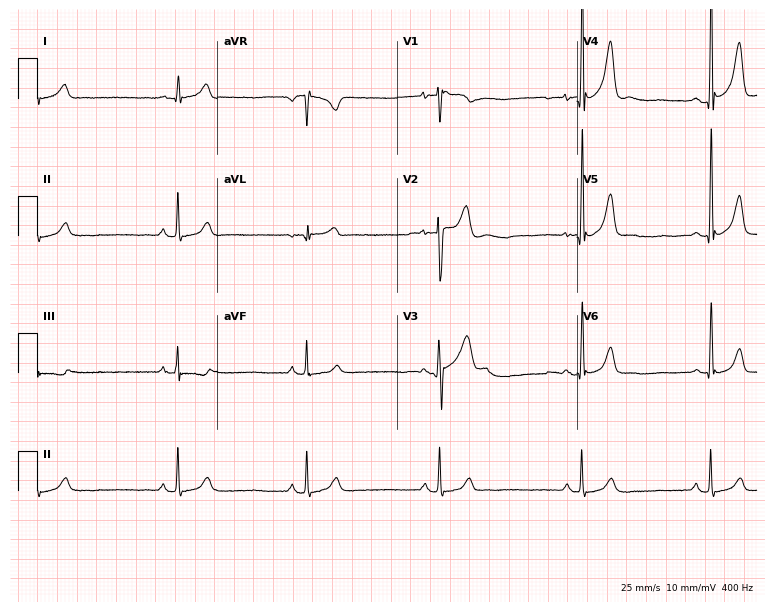
12-lead ECG from a 20-year-old male. Shows sinus bradycardia (a sinus rate of 50 beats per minute or less).